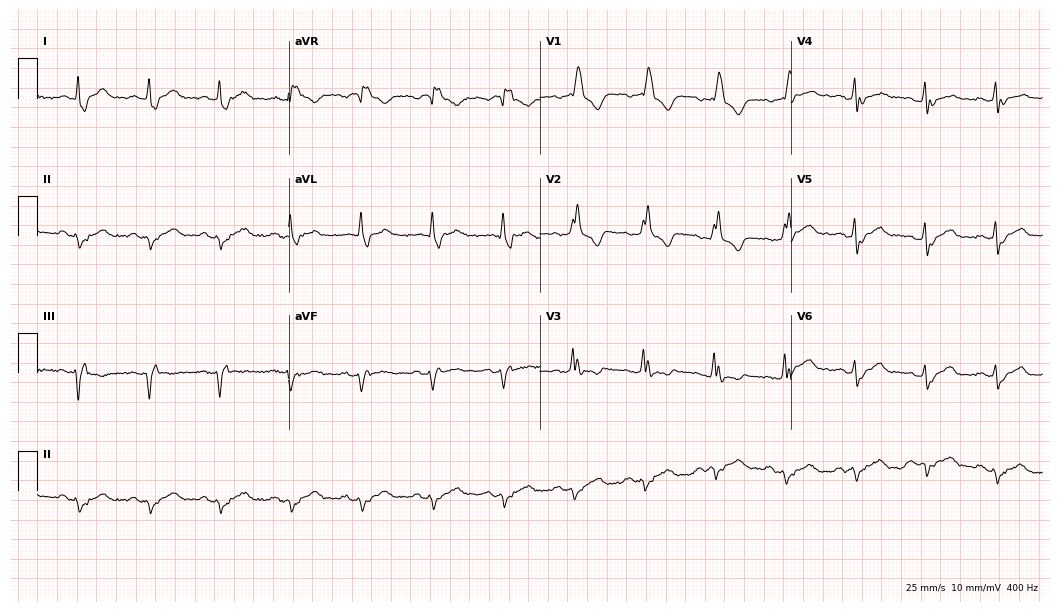
Resting 12-lead electrocardiogram. Patient: a 55-year-old male. The tracing shows right bundle branch block.